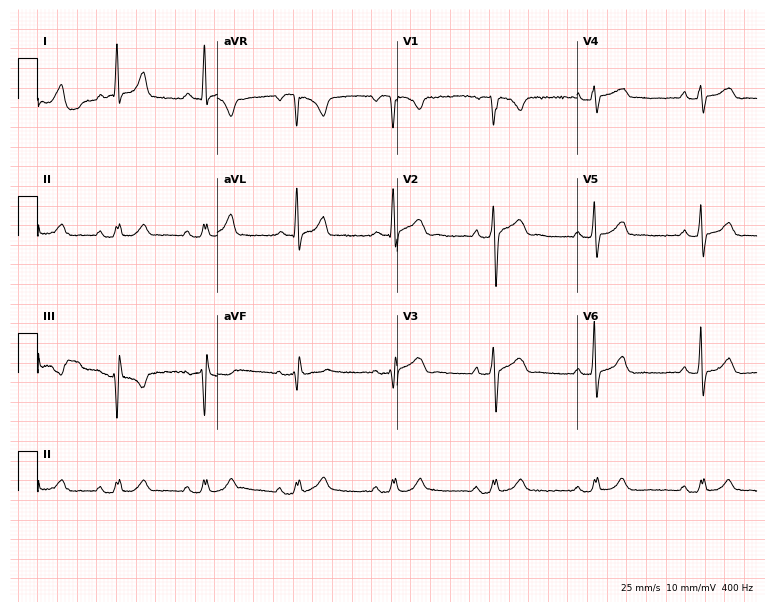
Standard 12-lead ECG recorded from a 57-year-old male. None of these six findings is recorded: first-degree AV block, right bundle branch block, left bundle branch block, sinus bradycardia, atrial fibrillation, sinus tachycardia. Other findings, if any, are not listed.